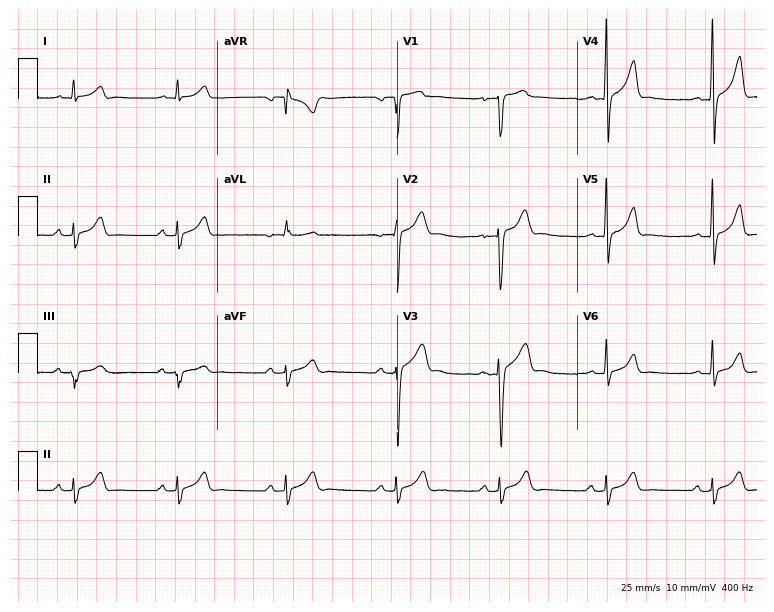
ECG (7.3-second recording at 400 Hz) — a 17-year-old man. Screened for six findings — first-degree AV block, right bundle branch block, left bundle branch block, sinus bradycardia, atrial fibrillation, sinus tachycardia — none is recorded. Other findings, if any, are not listed.